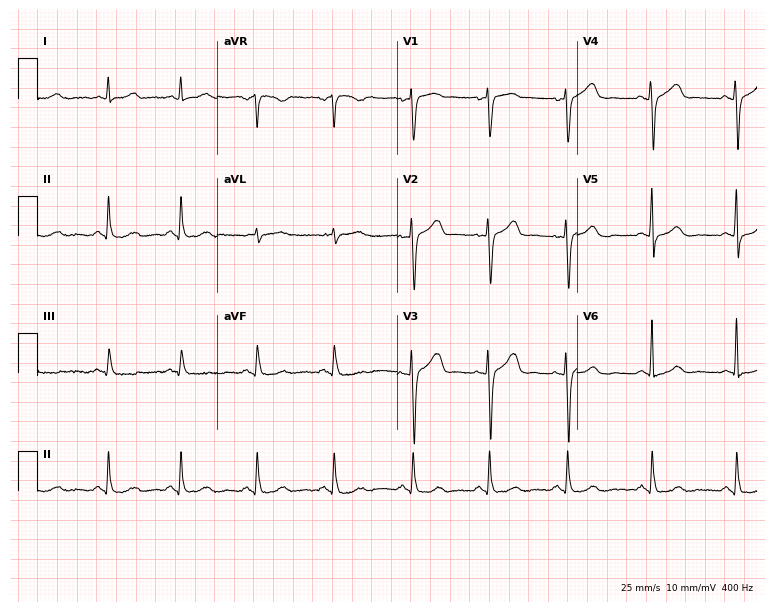
Resting 12-lead electrocardiogram (7.3-second recording at 400 Hz). Patient: a female, 47 years old. None of these six findings is recorded: first-degree AV block, right bundle branch block, left bundle branch block, sinus bradycardia, atrial fibrillation, sinus tachycardia.